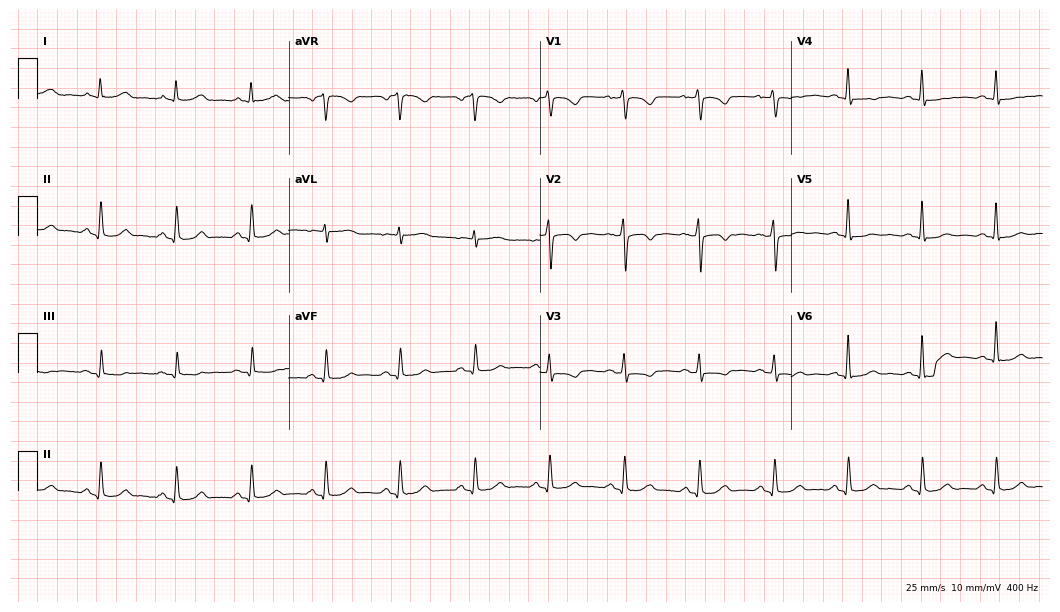
Standard 12-lead ECG recorded from a female, 55 years old. Read as a normal ECG.